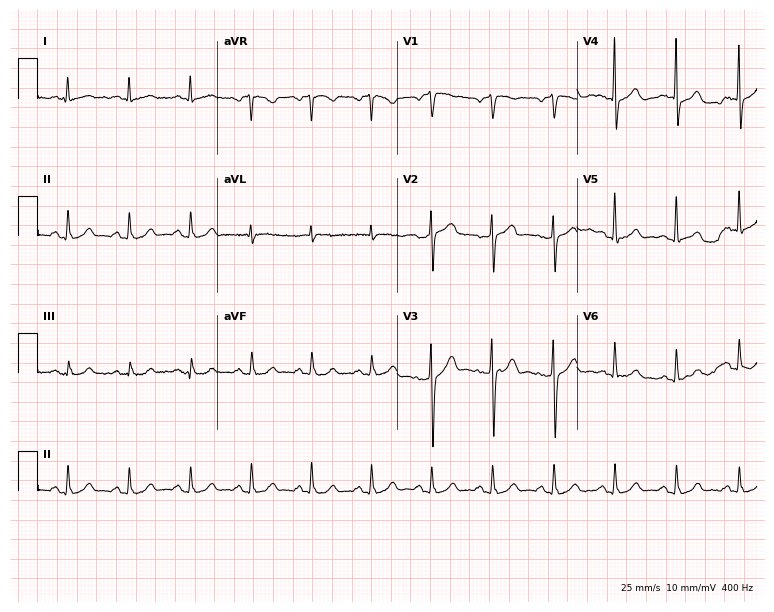
12-lead ECG from a male, 54 years old. Labelled as a normal ECG.